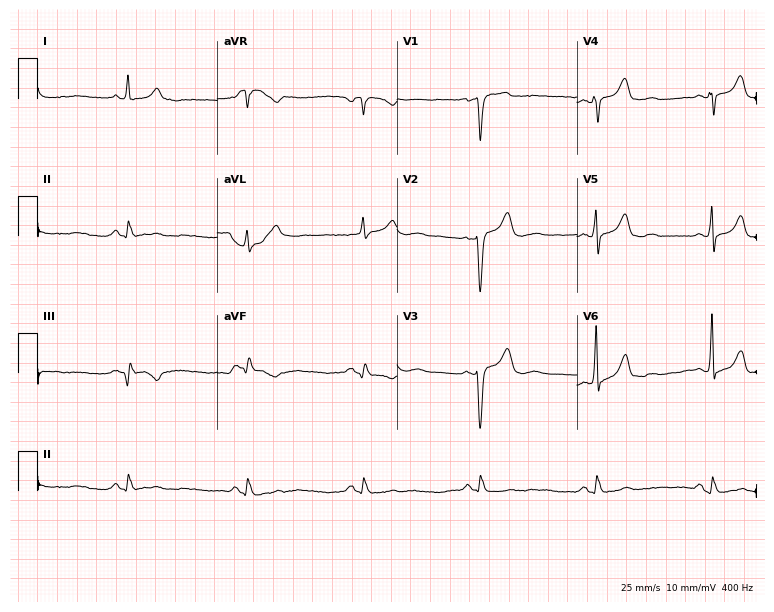
Resting 12-lead electrocardiogram. Patient: a man, 55 years old. None of these six findings is recorded: first-degree AV block, right bundle branch block, left bundle branch block, sinus bradycardia, atrial fibrillation, sinus tachycardia. Findings outside these six are not listed.